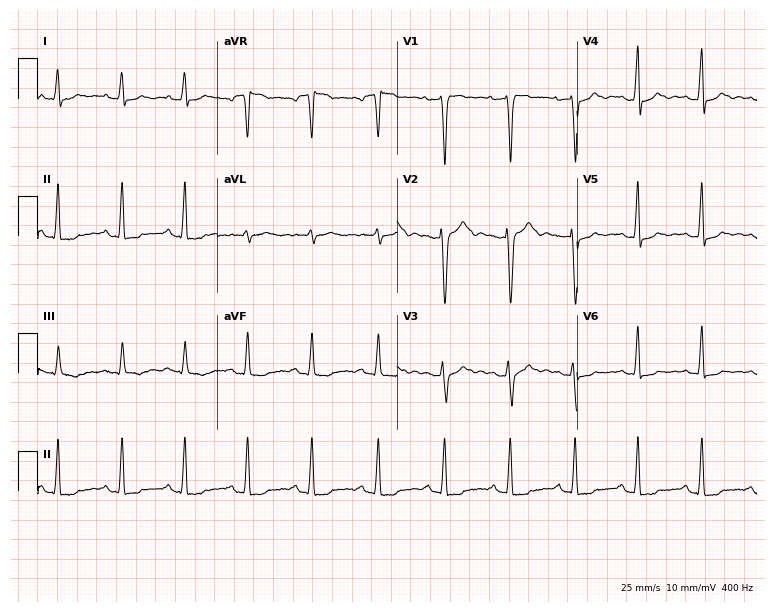
Electrocardiogram, a female, 31 years old. Of the six screened findings (first-degree AV block, right bundle branch block, left bundle branch block, sinus bradycardia, atrial fibrillation, sinus tachycardia), none is recorded.